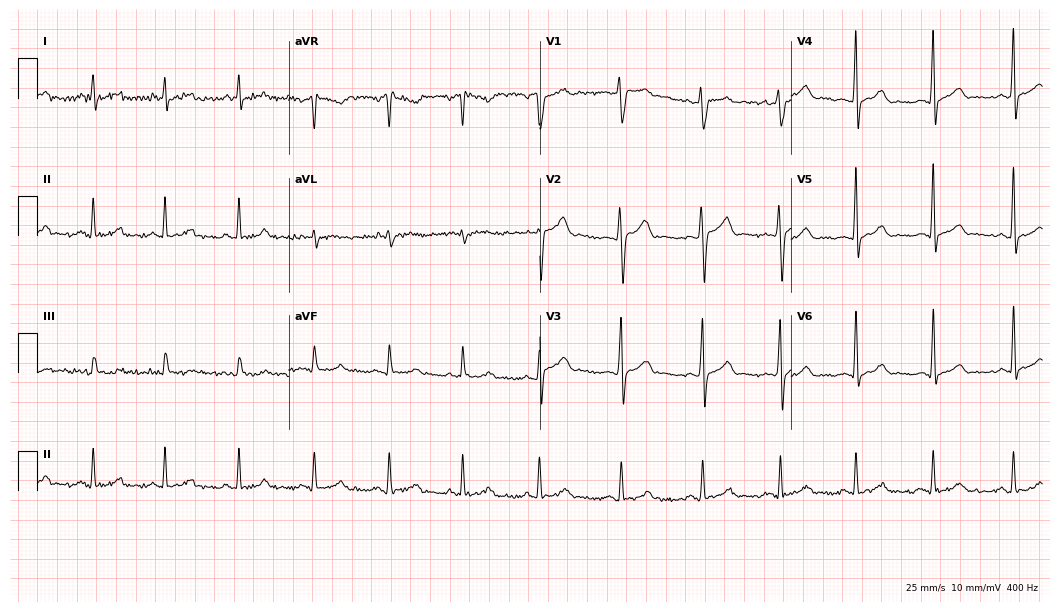
12-lead ECG from a male patient, 24 years old. No first-degree AV block, right bundle branch block, left bundle branch block, sinus bradycardia, atrial fibrillation or sinus tachycardia recorded for this tracing. Other findings, if any, are not listed.